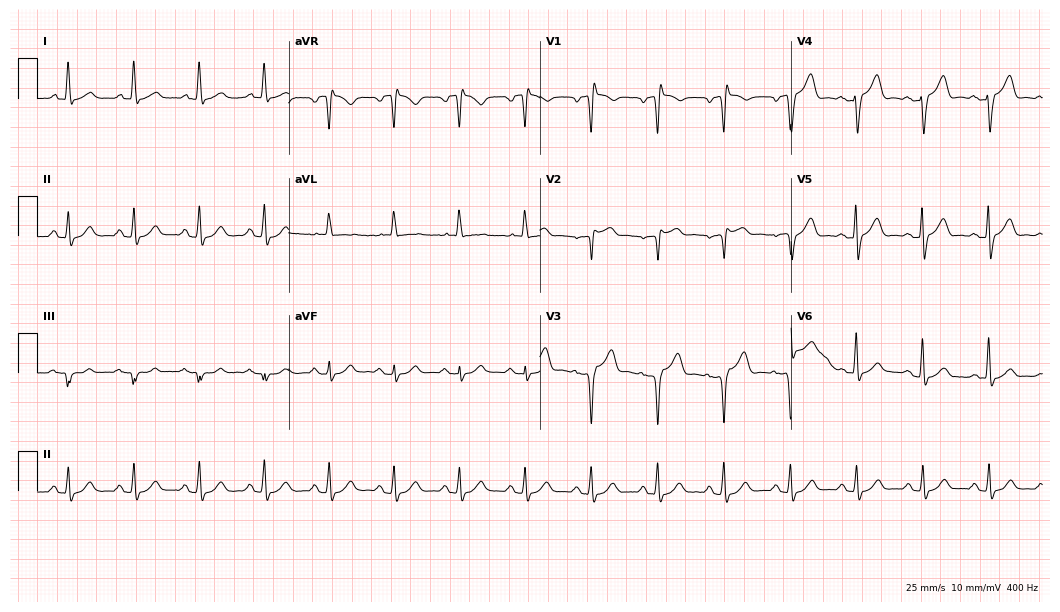
12-lead ECG from a man, 74 years old. No first-degree AV block, right bundle branch block, left bundle branch block, sinus bradycardia, atrial fibrillation or sinus tachycardia recorded for this tracing.